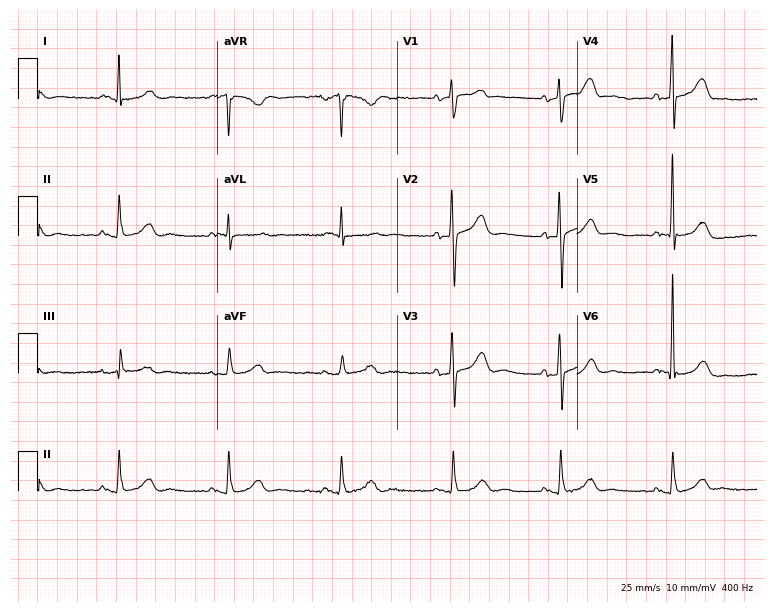
ECG (7.3-second recording at 400 Hz) — a male patient, 71 years old. Screened for six findings — first-degree AV block, right bundle branch block, left bundle branch block, sinus bradycardia, atrial fibrillation, sinus tachycardia — none is recorded. Findings outside these six are not listed.